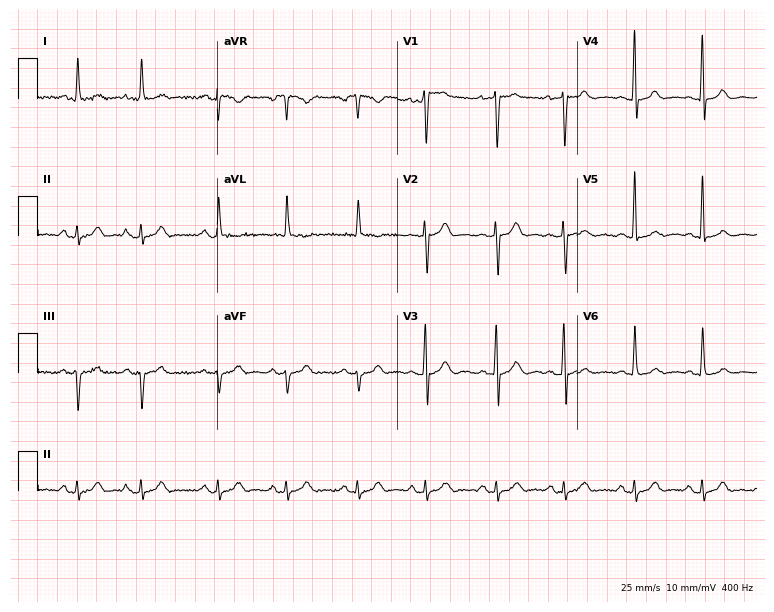
12-lead ECG from an 84-year-old male patient. Screened for six findings — first-degree AV block, right bundle branch block, left bundle branch block, sinus bradycardia, atrial fibrillation, sinus tachycardia — none is recorded. Findings outside these six are not listed.